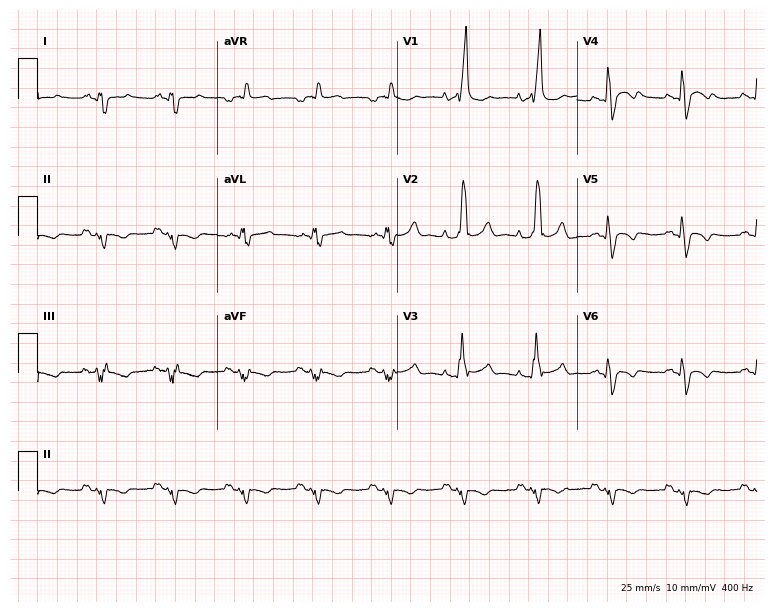
12-lead ECG from a 50-year-old male. Shows right bundle branch block (RBBB).